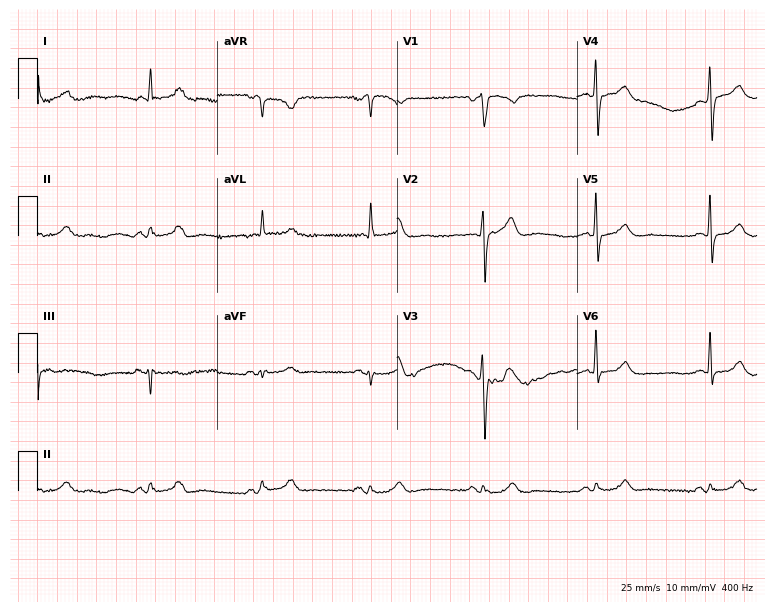
12-lead ECG from an 80-year-old man. No first-degree AV block, right bundle branch block, left bundle branch block, sinus bradycardia, atrial fibrillation or sinus tachycardia recorded for this tracing.